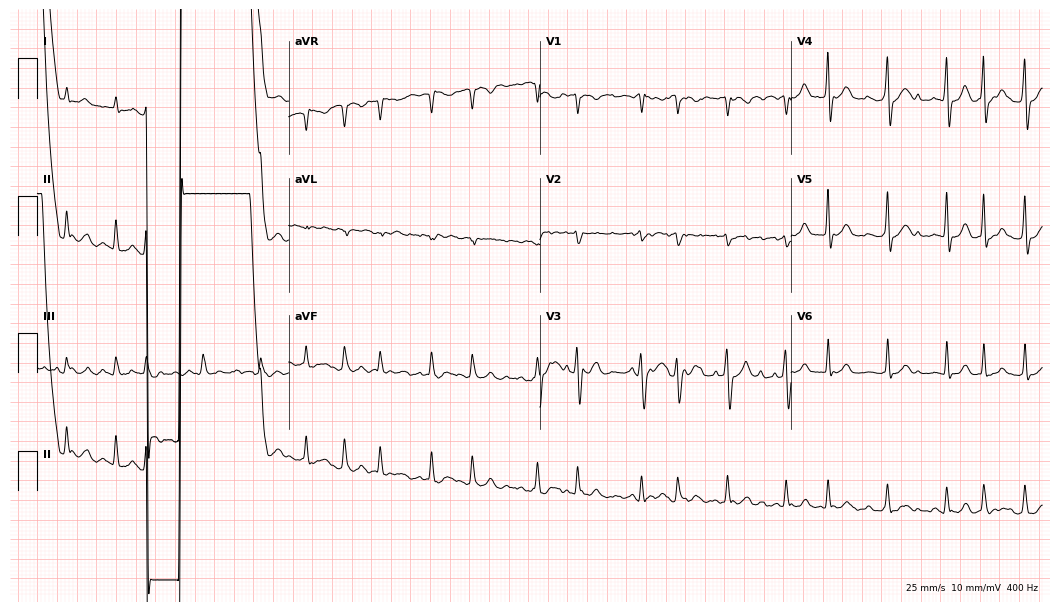
12-lead ECG (10.2-second recording at 400 Hz) from a male, 69 years old. Findings include atrial fibrillation.